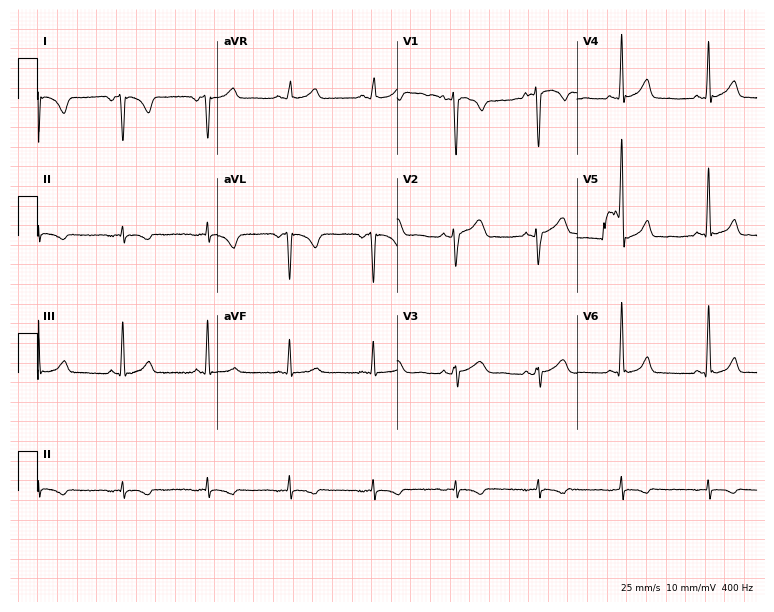
Resting 12-lead electrocardiogram (7.3-second recording at 400 Hz). Patient: a woman, 35 years old. None of these six findings is recorded: first-degree AV block, right bundle branch block (RBBB), left bundle branch block (LBBB), sinus bradycardia, atrial fibrillation (AF), sinus tachycardia.